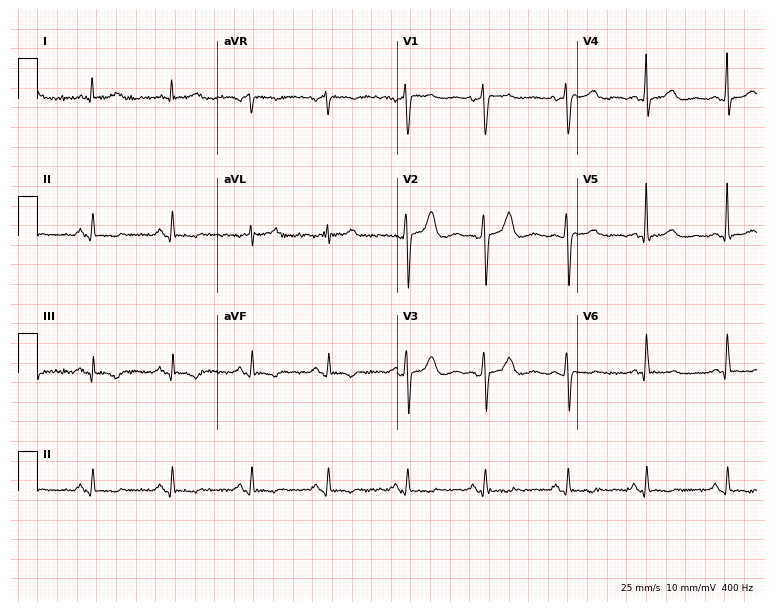
Standard 12-lead ECG recorded from a 53-year-old woman. None of these six findings is recorded: first-degree AV block, right bundle branch block (RBBB), left bundle branch block (LBBB), sinus bradycardia, atrial fibrillation (AF), sinus tachycardia. Other findings, if any, are not listed.